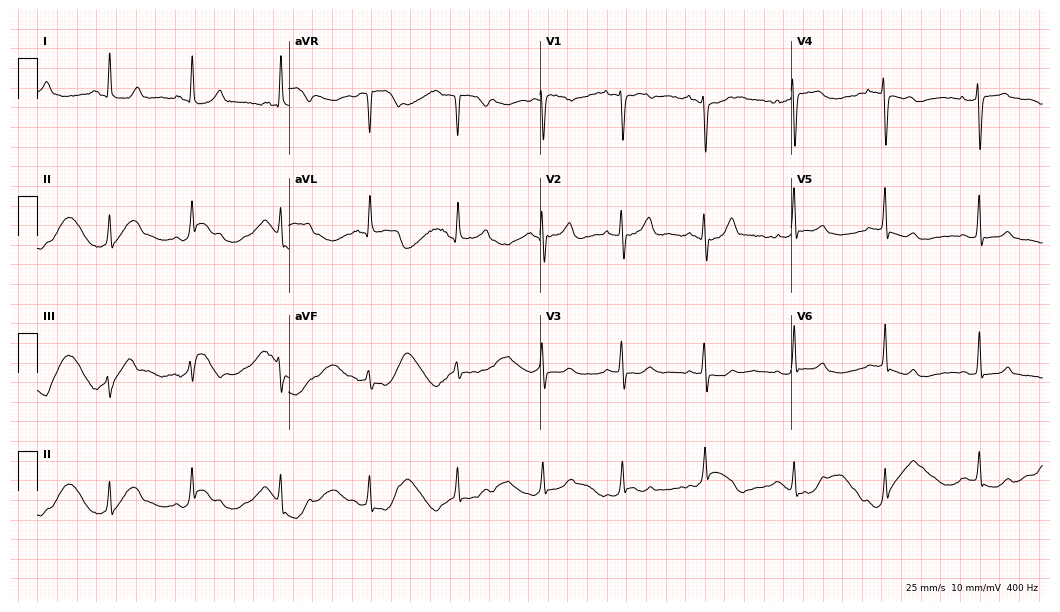
12-lead ECG (10.2-second recording at 400 Hz) from a woman, 44 years old. Screened for six findings — first-degree AV block, right bundle branch block, left bundle branch block, sinus bradycardia, atrial fibrillation, sinus tachycardia — none is recorded. Findings outside these six are not listed.